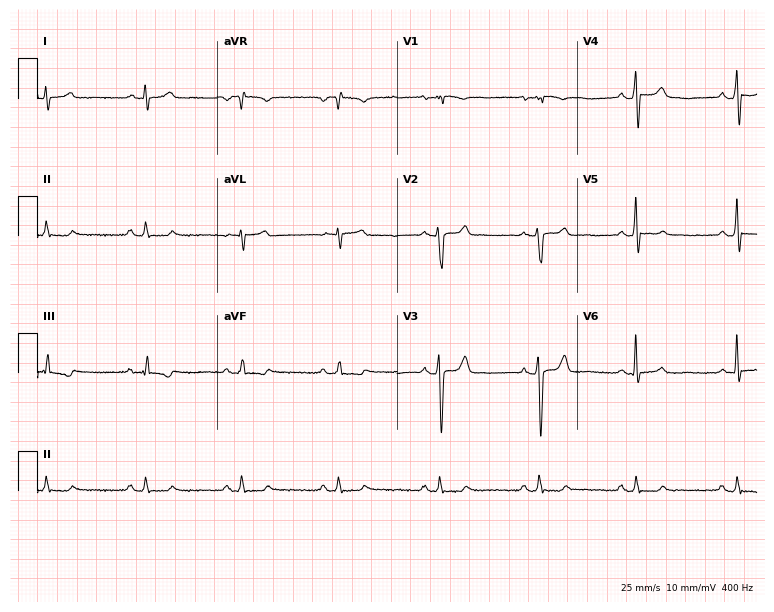
12-lead ECG from a woman, 40 years old. Recorded interpretation: within normal limits.